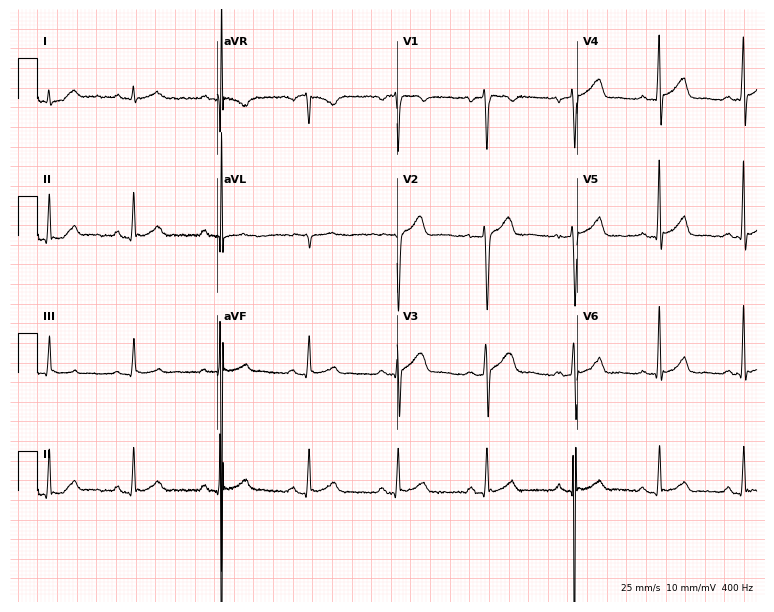
ECG (7.3-second recording at 400 Hz) — a 29-year-old male patient. Screened for six findings — first-degree AV block, right bundle branch block, left bundle branch block, sinus bradycardia, atrial fibrillation, sinus tachycardia — none is recorded. Findings outside these six are not listed.